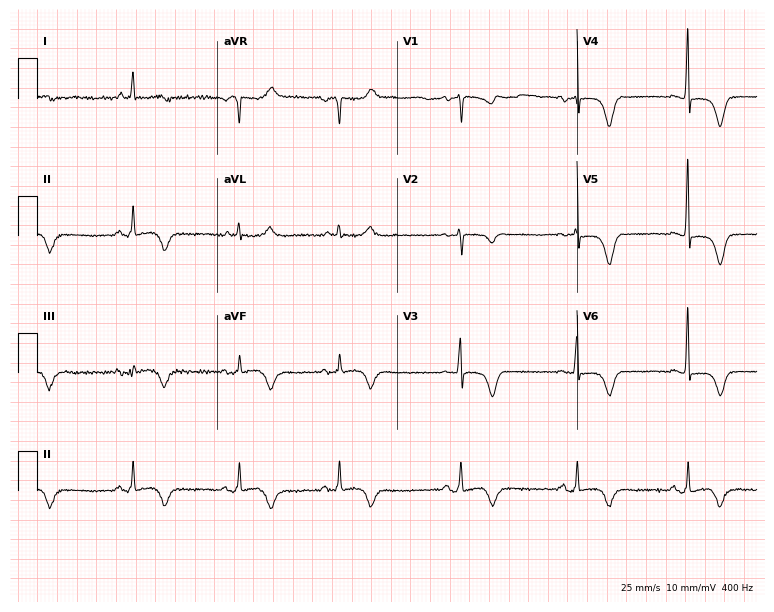
ECG (7.3-second recording at 400 Hz) — a female, 65 years old. Screened for six findings — first-degree AV block, right bundle branch block (RBBB), left bundle branch block (LBBB), sinus bradycardia, atrial fibrillation (AF), sinus tachycardia — none is recorded.